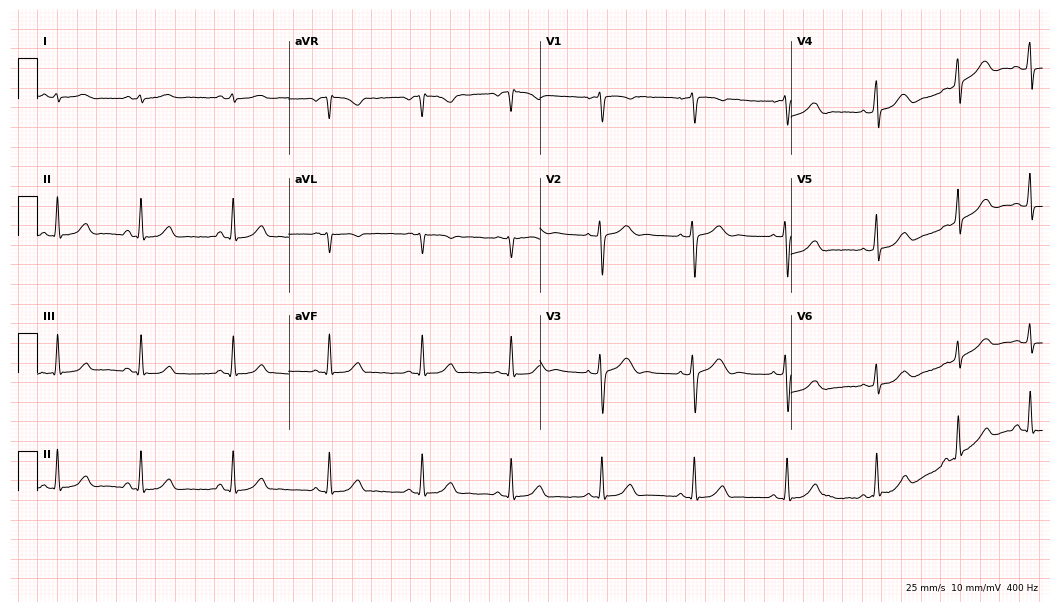
12-lead ECG from a woman, 24 years old. Recorded interpretation: within normal limits.